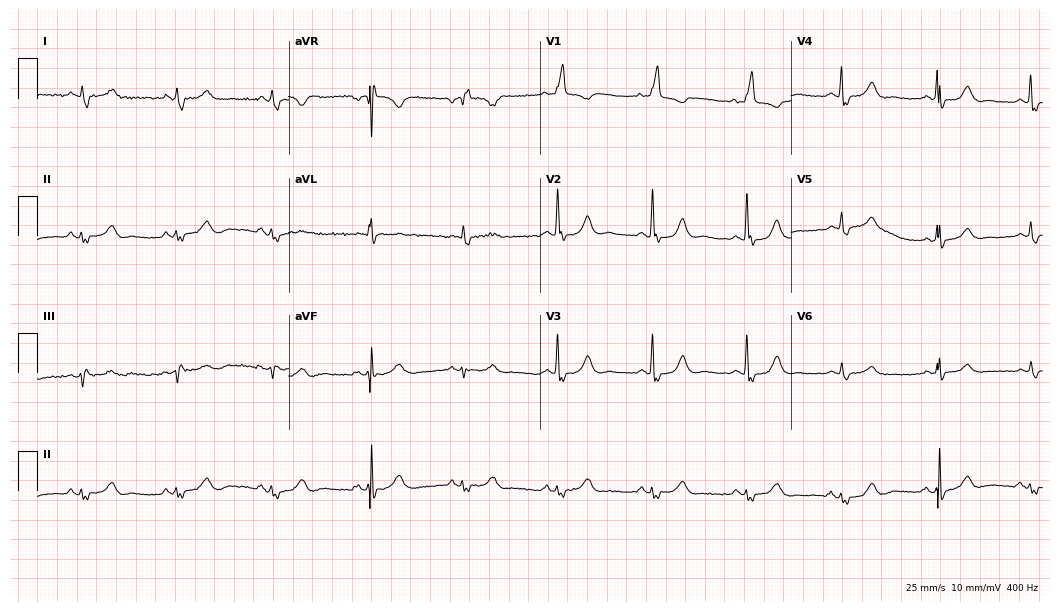
ECG — a woman, 85 years old. Findings include right bundle branch block.